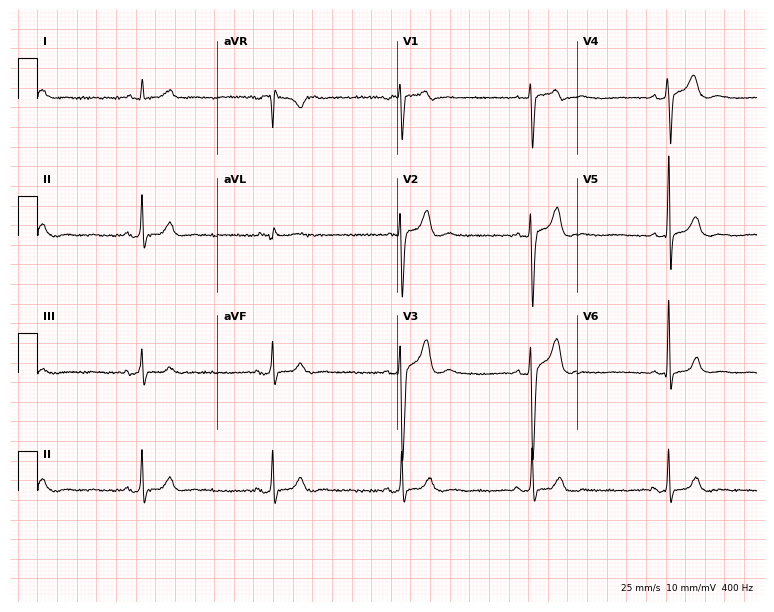
12-lead ECG from a 32-year-old male patient. No first-degree AV block, right bundle branch block (RBBB), left bundle branch block (LBBB), sinus bradycardia, atrial fibrillation (AF) or sinus tachycardia recorded for this tracing.